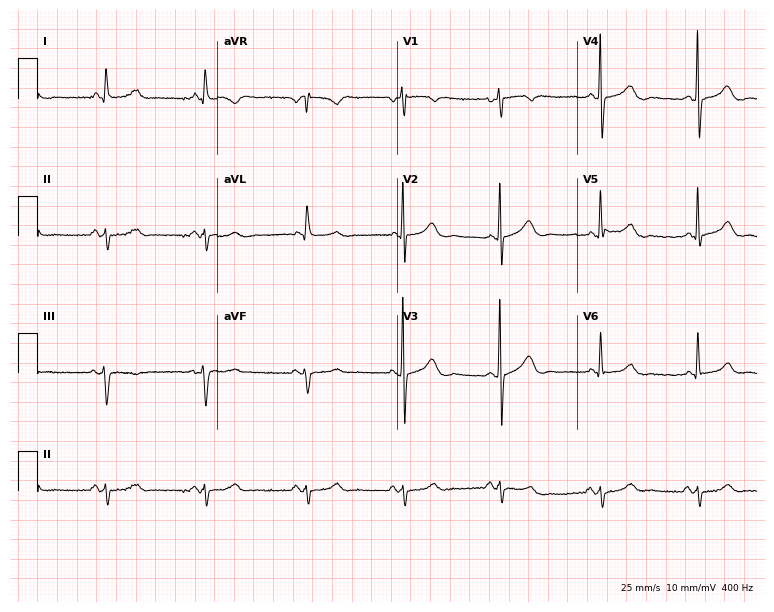
Resting 12-lead electrocardiogram. Patient: a male, 82 years old. None of these six findings is recorded: first-degree AV block, right bundle branch block, left bundle branch block, sinus bradycardia, atrial fibrillation, sinus tachycardia. Other findings, if any, are not listed.